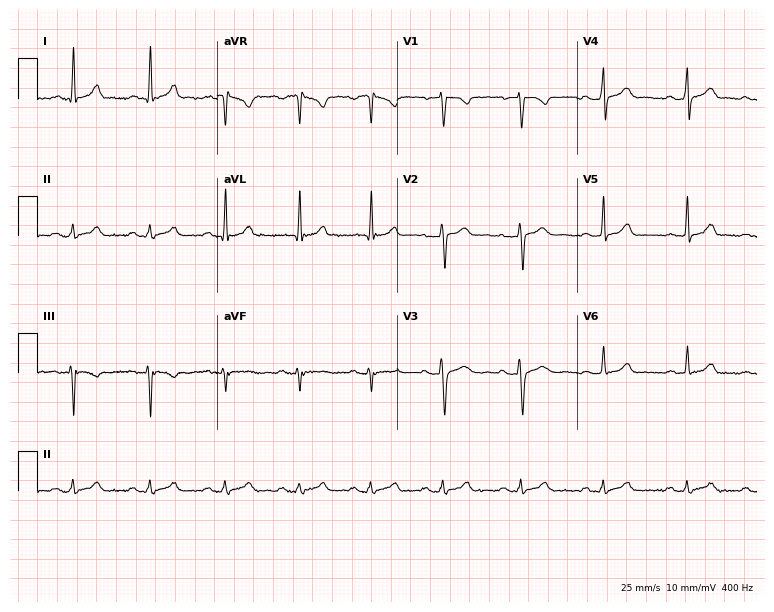
Resting 12-lead electrocardiogram. Patient: a 38-year-old male. None of these six findings is recorded: first-degree AV block, right bundle branch block, left bundle branch block, sinus bradycardia, atrial fibrillation, sinus tachycardia. Only these six findings were labelled.